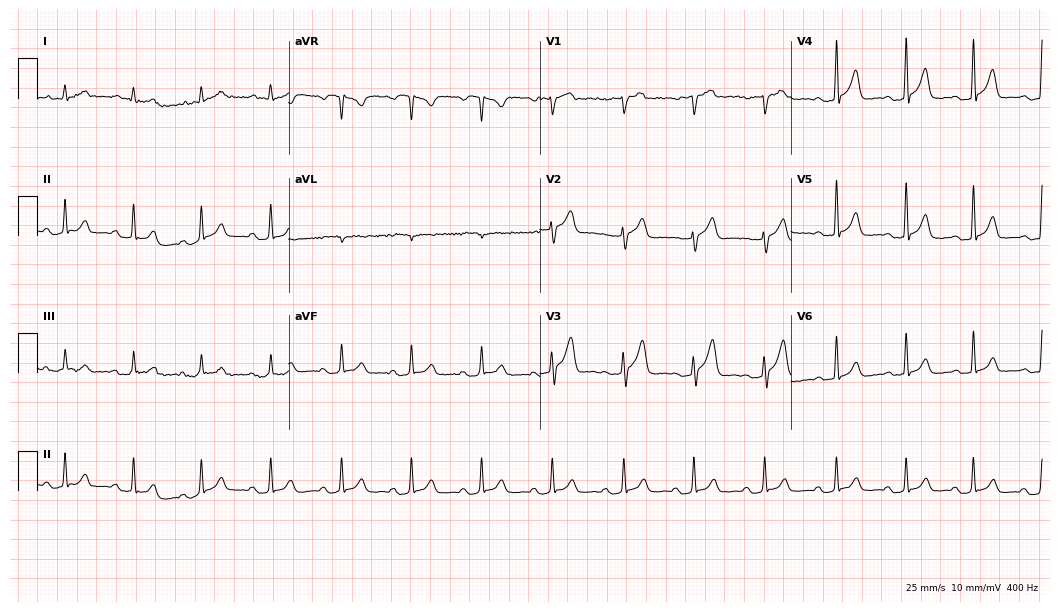
12-lead ECG from a 40-year-old male (10.2-second recording at 400 Hz). Recorded interpretation: within normal limits.